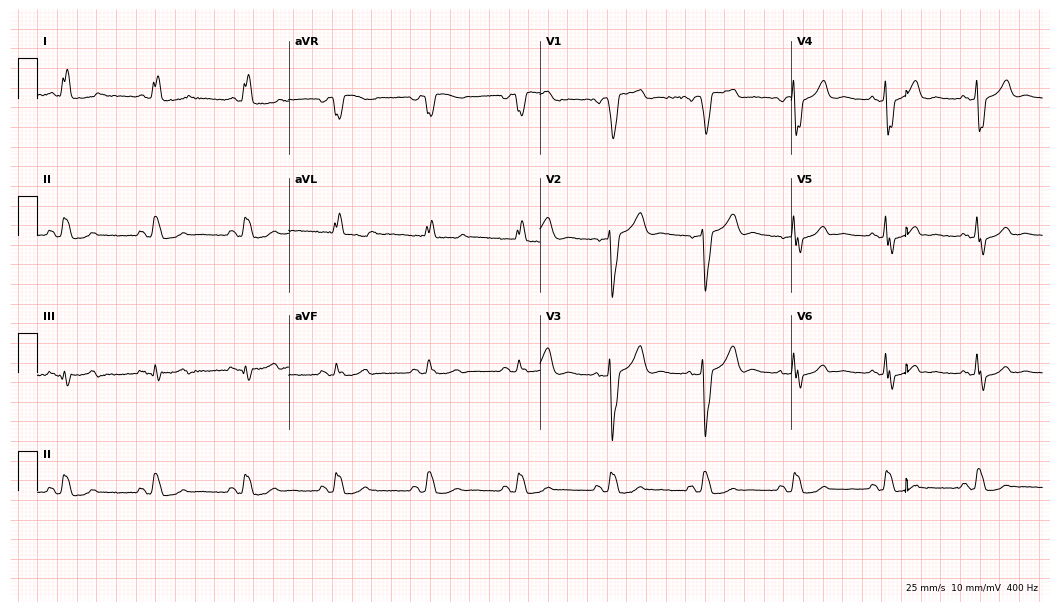
12-lead ECG (10.2-second recording at 400 Hz) from a female, 67 years old. Findings include left bundle branch block (LBBB).